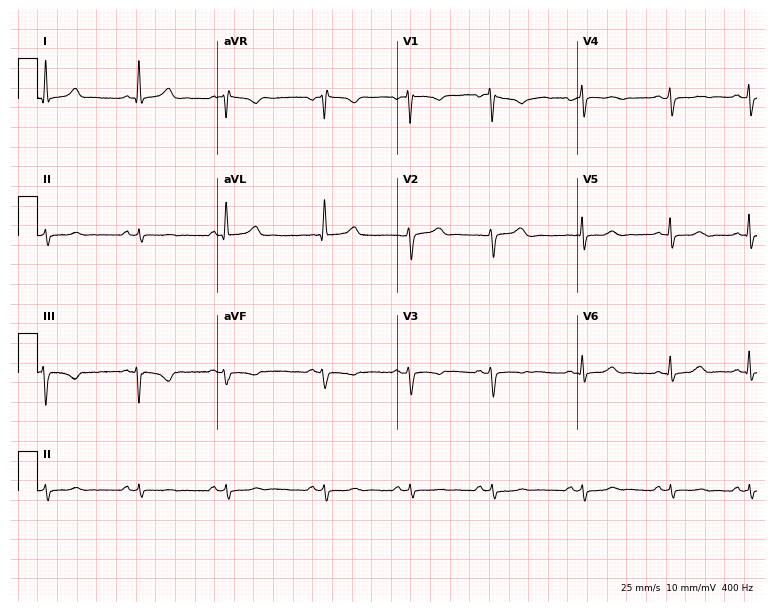
12-lead ECG (7.3-second recording at 400 Hz) from a female, 40 years old. Screened for six findings — first-degree AV block, right bundle branch block (RBBB), left bundle branch block (LBBB), sinus bradycardia, atrial fibrillation (AF), sinus tachycardia — none is recorded. Findings outside these six are not listed.